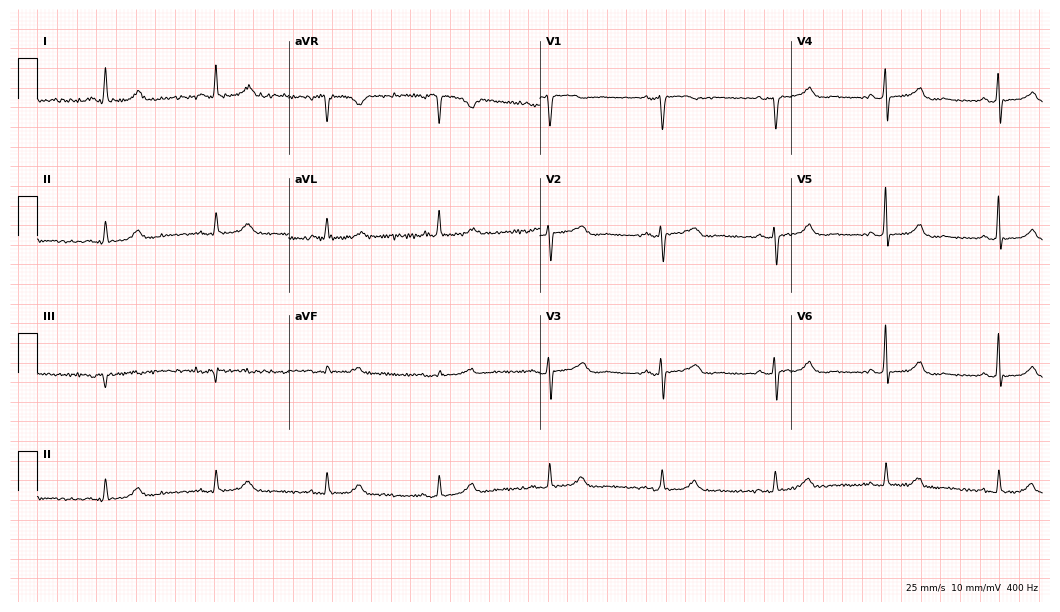
Resting 12-lead electrocardiogram. Patient: a 61-year-old female. Read as a normal ECG.